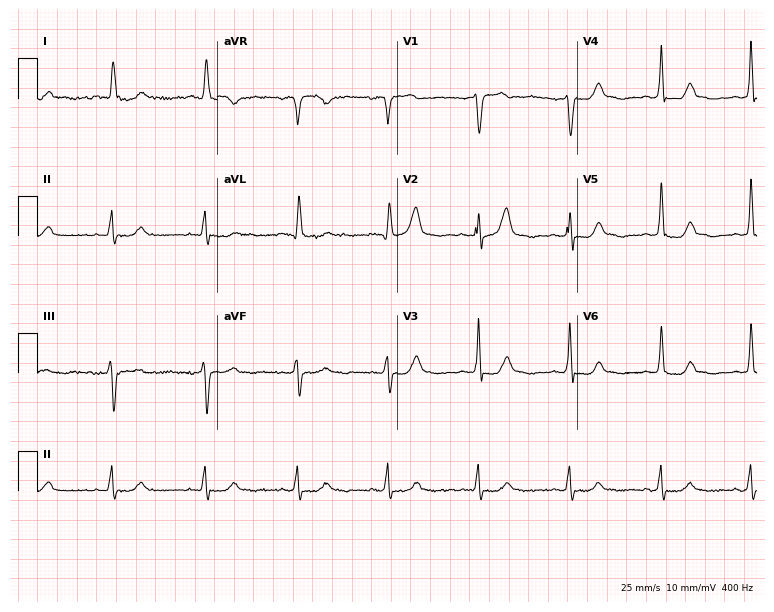
Electrocardiogram, a 70-year-old female. Overall reading on record: normal ECG.